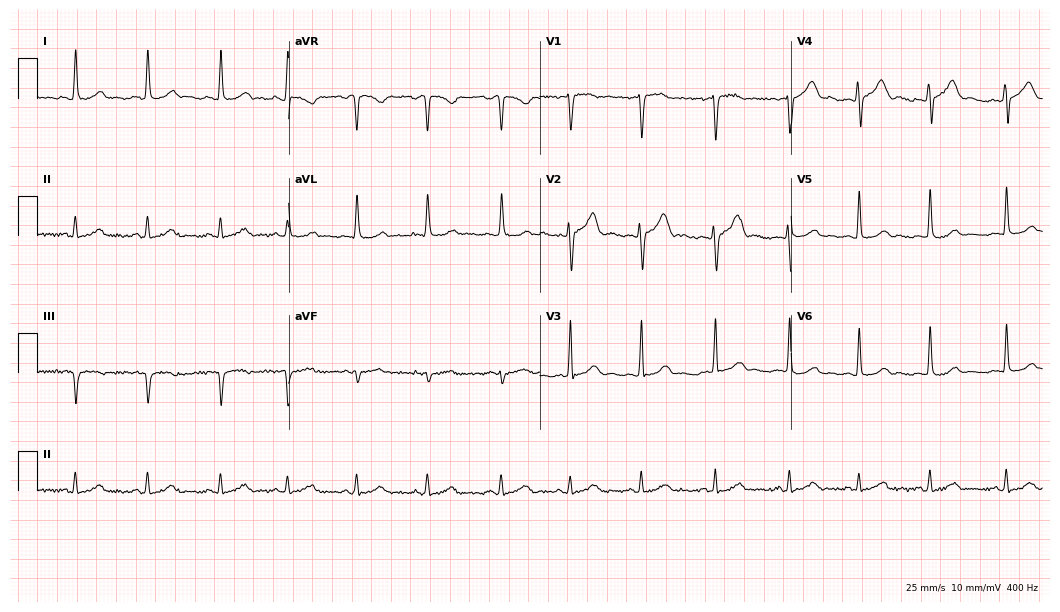
12-lead ECG from a female patient, 32 years old. Recorded interpretation: within normal limits.